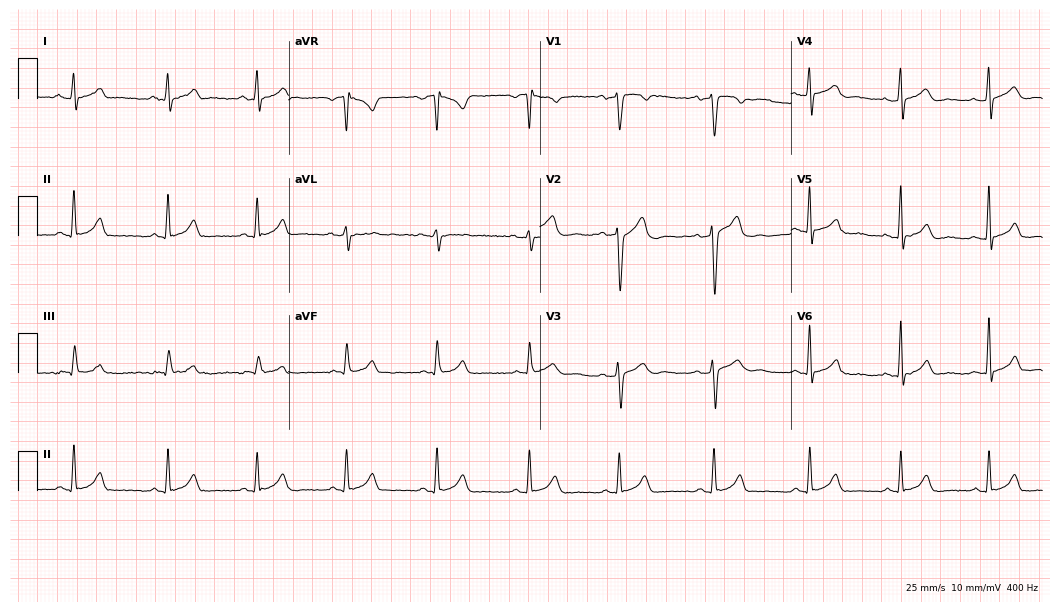
Resting 12-lead electrocardiogram (10.2-second recording at 400 Hz). Patient: a 38-year-old male. Read as a normal ECG.